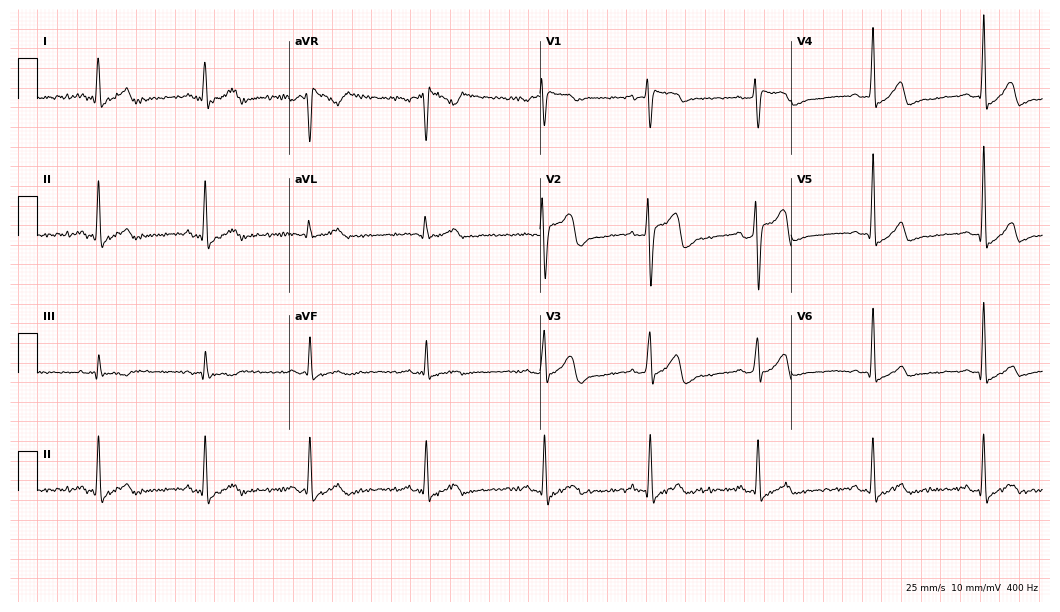
12-lead ECG from a 25-year-old male (10.2-second recording at 400 Hz). No first-degree AV block, right bundle branch block, left bundle branch block, sinus bradycardia, atrial fibrillation or sinus tachycardia recorded for this tracing. Other findings, if any, are not listed.